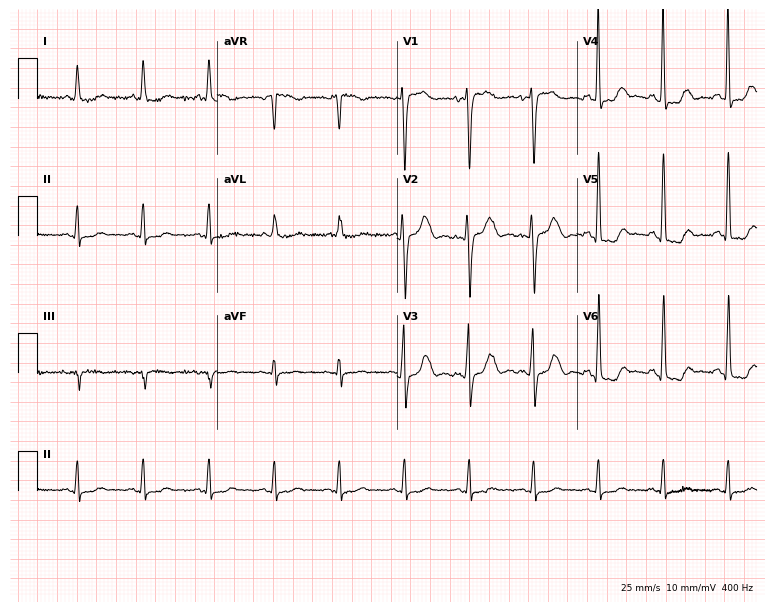
12-lead ECG from a woman, 69 years old. Screened for six findings — first-degree AV block, right bundle branch block, left bundle branch block, sinus bradycardia, atrial fibrillation, sinus tachycardia — none is recorded. Other findings, if any, are not listed.